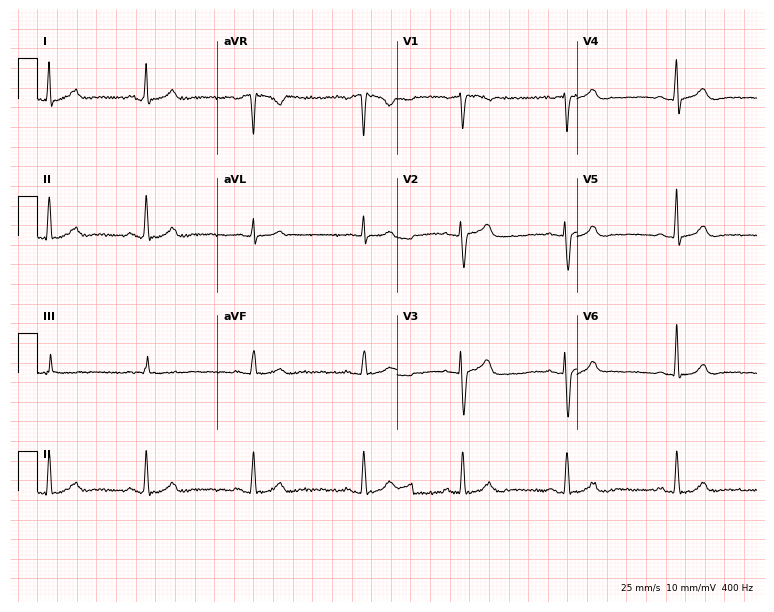
Standard 12-lead ECG recorded from a 37-year-old female patient. Read as a normal ECG.